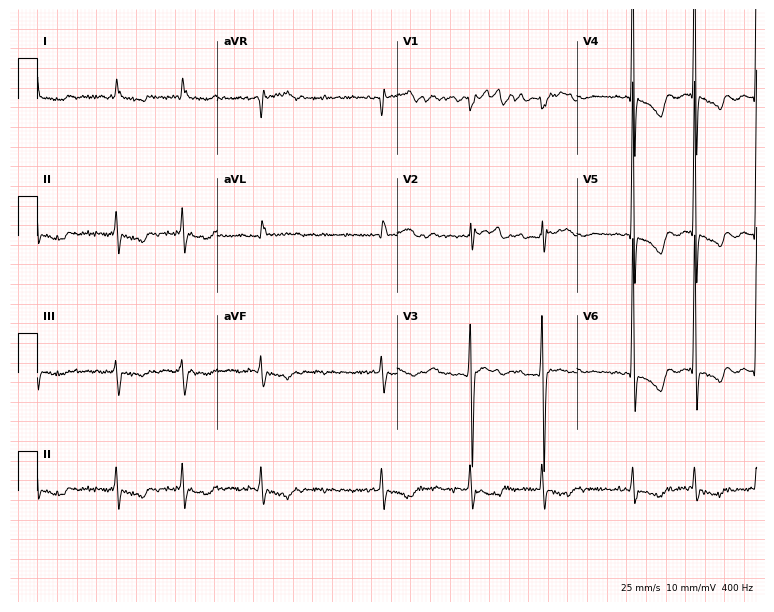
ECG (7.3-second recording at 400 Hz) — a man, 68 years old. Findings include atrial fibrillation.